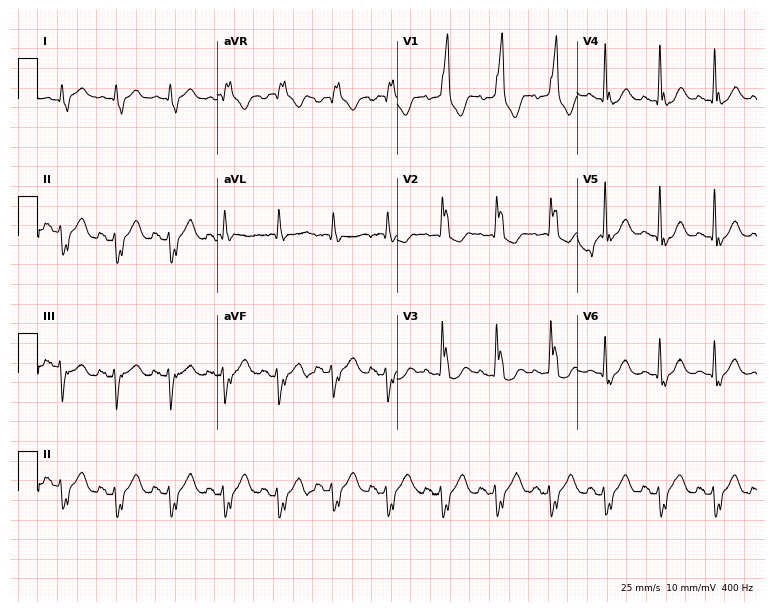
ECG (7.3-second recording at 400 Hz) — an 87-year-old male patient. Findings include right bundle branch block, sinus tachycardia (a sinus rate of 100 beats per minute or more).